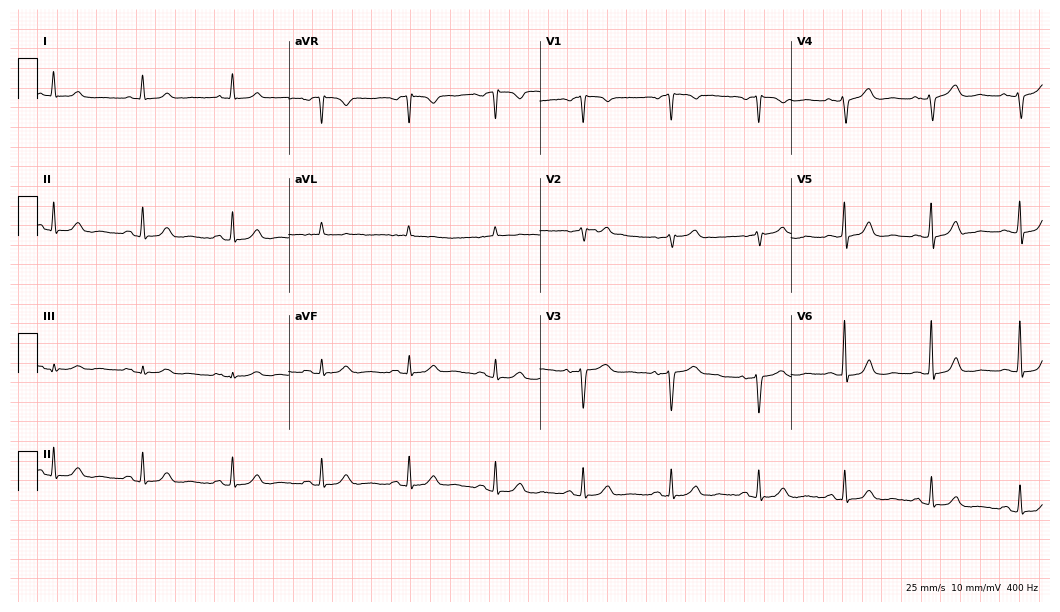
12-lead ECG from a woman, 72 years old. Labelled as a normal ECG.